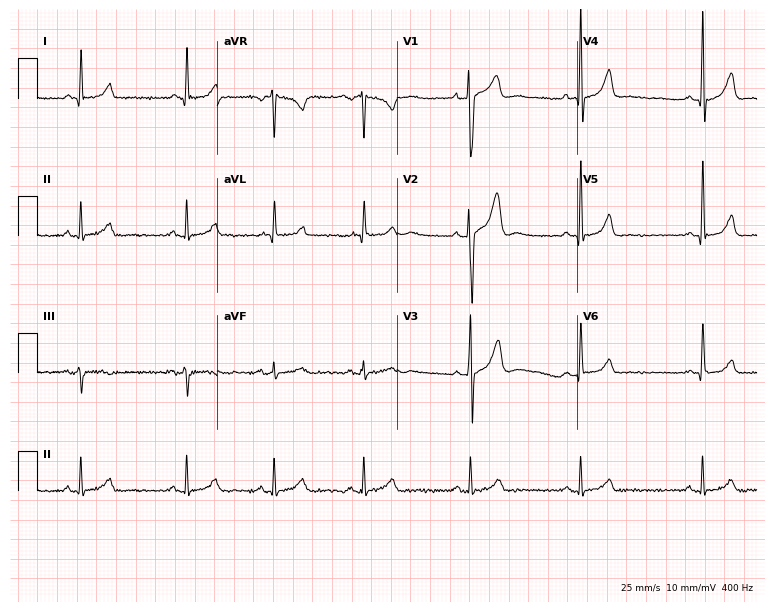
12-lead ECG from a man, 28 years old (7.3-second recording at 400 Hz). No first-degree AV block, right bundle branch block (RBBB), left bundle branch block (LBBB), sinus bradycardia, atrial fibrillation (AF) or sinus tachycardia recorded for this tracing. Only these six findings were labelled.